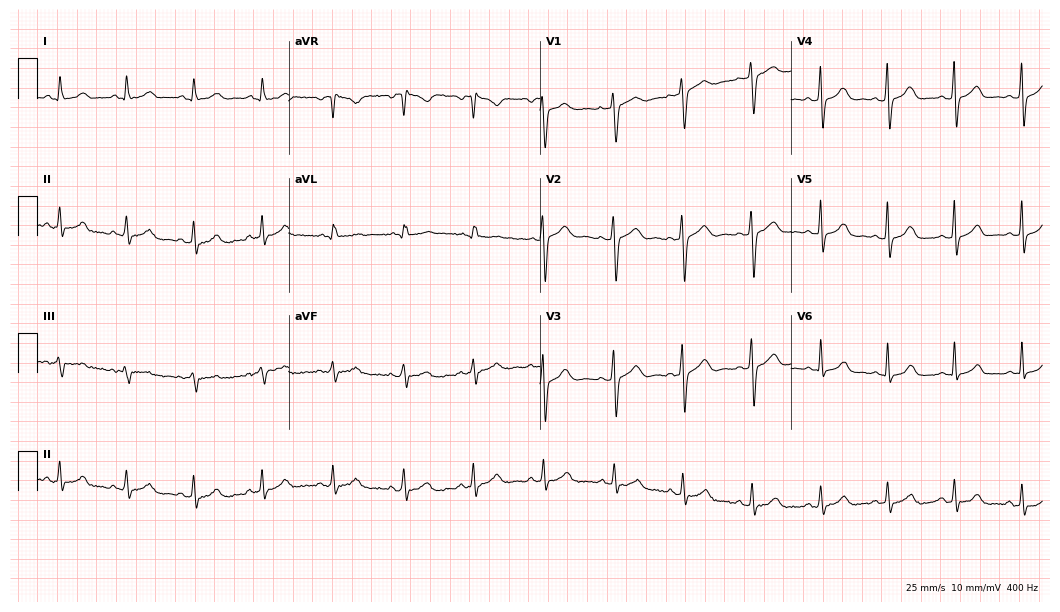
Electrocardiogram, a 28-year-old woman. Overall reading on record: normal ECG.